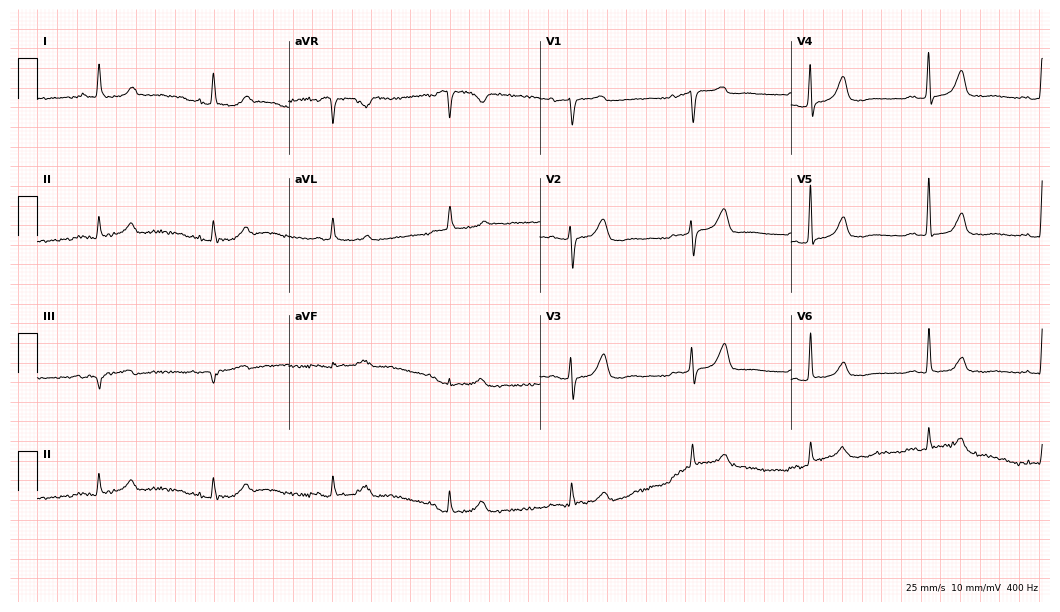
12-lead ECG from an 84-year-old male. Recorded interpretation: within normal limits.